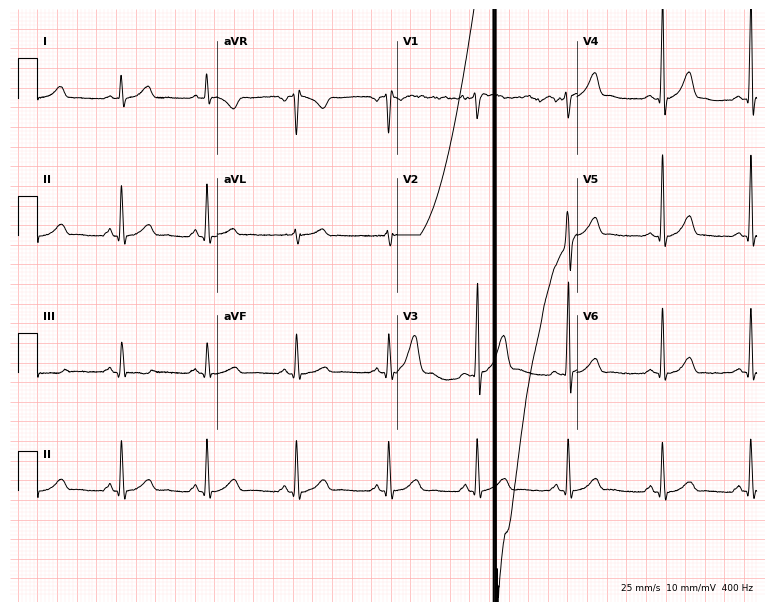
12-lead ECG from a 46-year-old man. Screened for six findings — first-degree AV block, right bundle branch block (RBBB), left bundle branch block (LBBB), sinus bradycardia, atrial fibrillation (AF), sinus tachycardia — none is recorded.